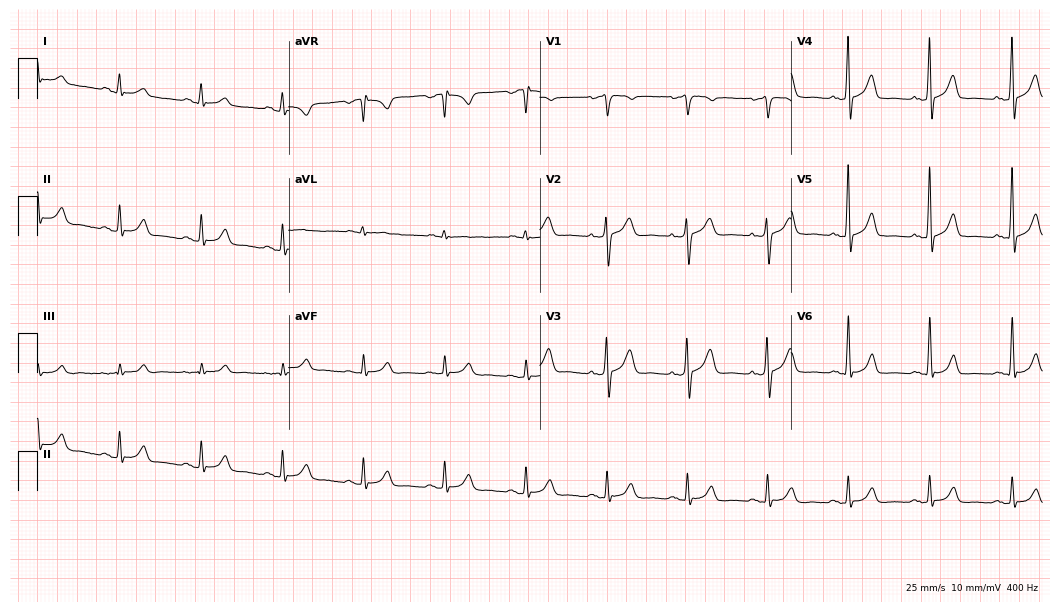
ECG (10.2-second recording at 400 Hz) — a 41-year-old male. Screened for six findings — first-degree AV block, right bundle branch block, left bundle branch block, sinus bradycardia, atrial fibrillation, sinus tachycardia — none is recorded. Only these six findings were labelled.